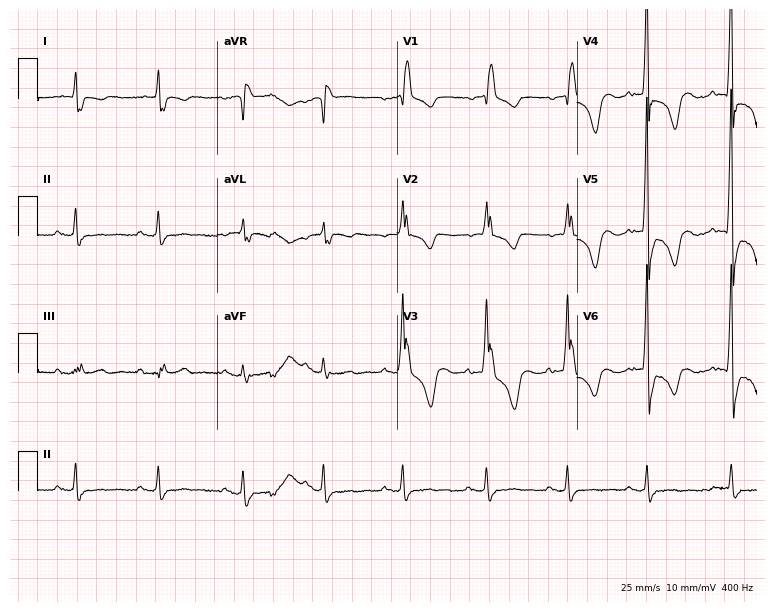
Electrocardiogram (7.3-second recording at 400 Hz), a 75-year-old man. Interpretation includes right bundle branch block.